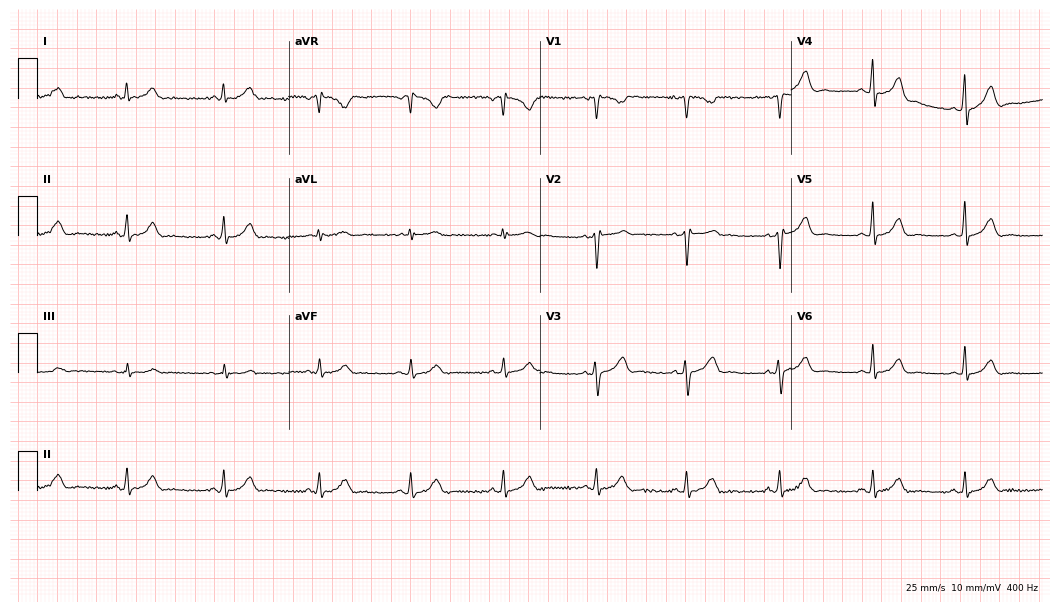
12-lead ECG (10.2-second recording at 400 Hz) from a female patient, 51 years old. Labelled as a normal ECG.